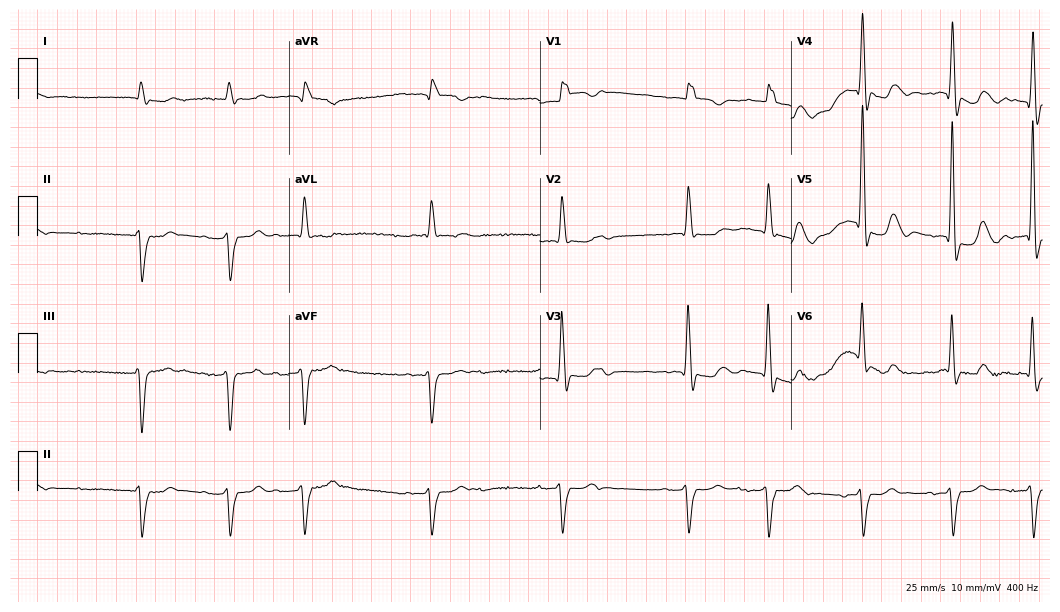
ECG (10.2-second recording at 400 Hz) — a male, 74 years old. Screened for six findings — first-degree AV block, right bundle branch block, left bundle branch block, sinus bradycardia, atrial fibrillation, sinus tachycardia — none is recorded.